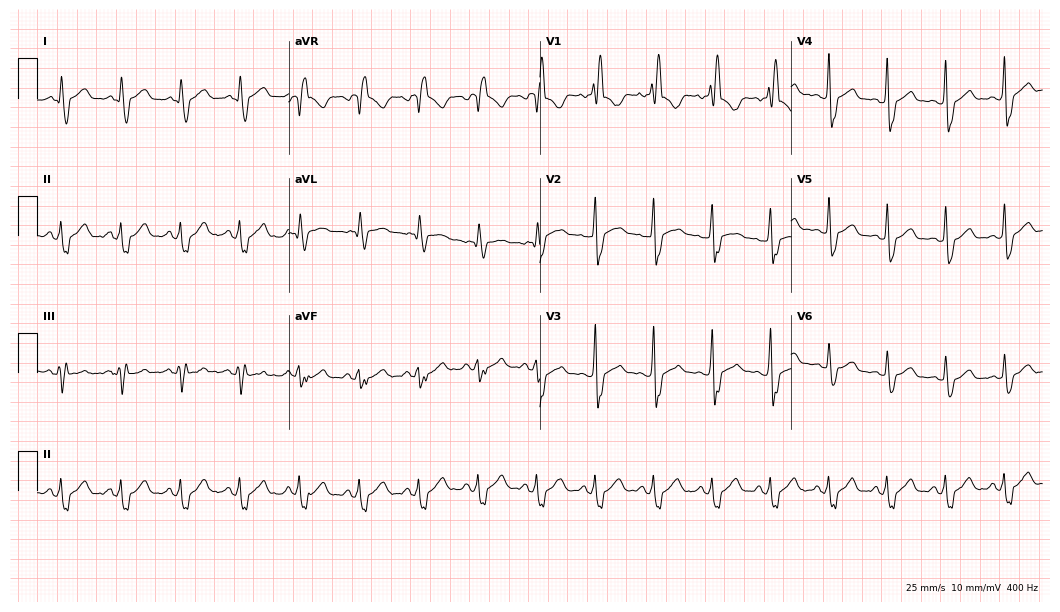
12-lead ECG from a man, 53 years old. No first-degree AV block, right bundle branch block, left bundle branch block, sinus bradycardia, atrial fibrillation or sinus tachycardia recorded for this tracing.